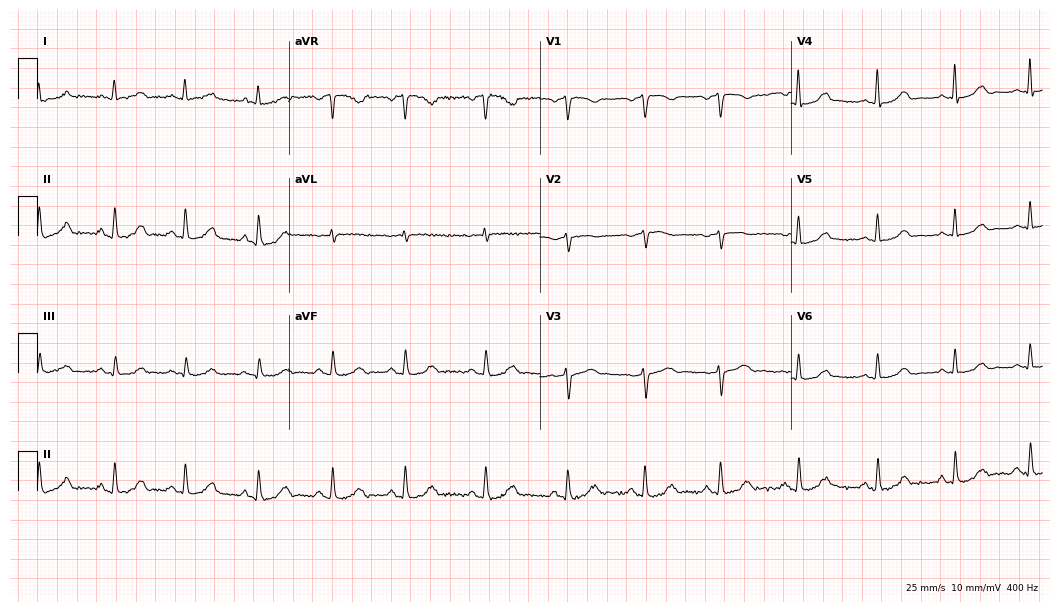
Resting 12-lead electrocardiogram. Patient: a woman, 43 years old. Read as a normal ECG.